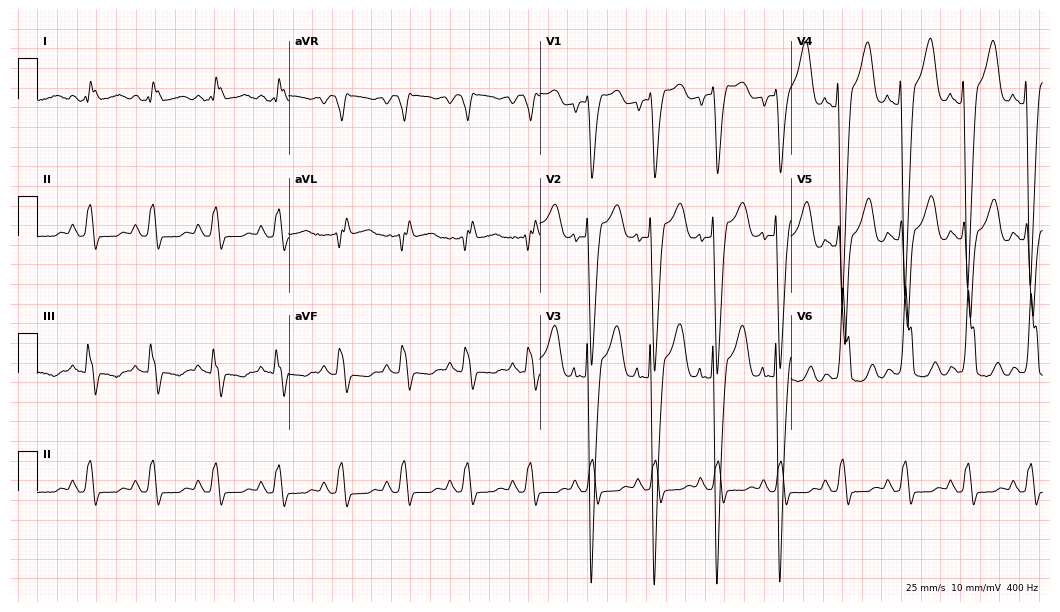
Standard 12-lead ECG recorded from a 52-year-old female (10.2-second recording at 400 Hz). The tracing shows left bundle branch block.